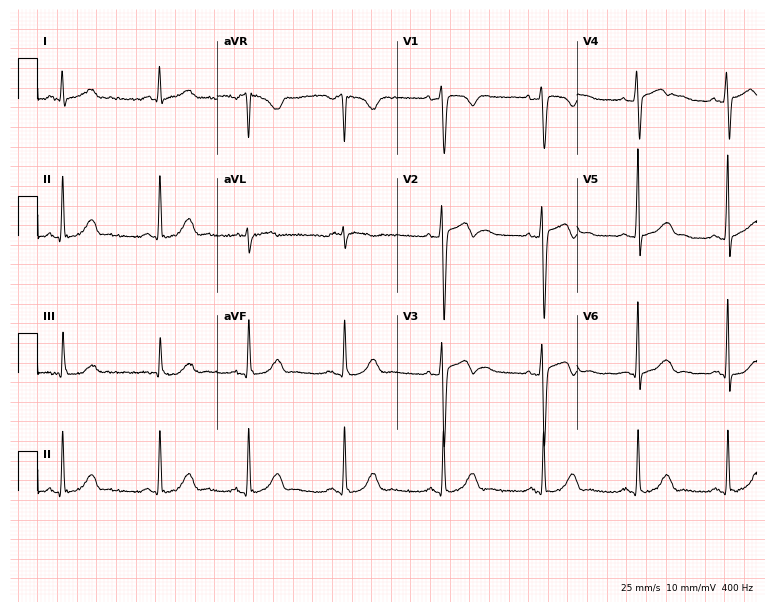
Standard 12-lead ECG recorded from a 26-year-old man (7.3-second recording at 400 Hz). None of these six findings is recorded: first-degree AV block, right bundle branch block, left bundle branch block, sinus bradycardia, atrial fibrillation, sinus tachycardia. Only these six findings were labelled.